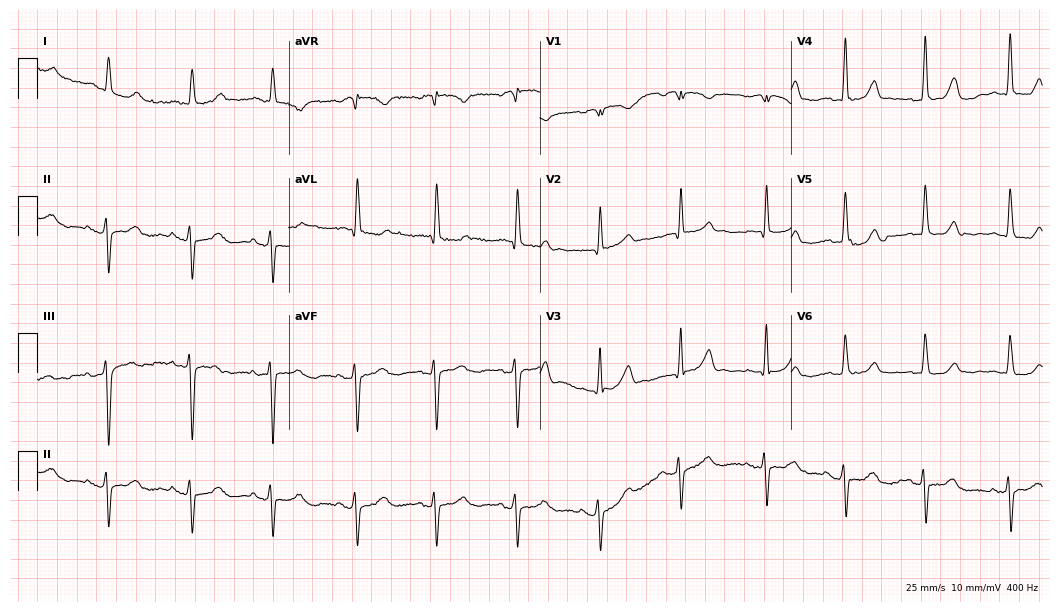
Resting 12-lead electrocardiogram (10.2-second recording at 400 Hz). Patient: a female, 78 years old. None of these six findings is recorded: first-degree AV block, right bundle branch block, left bundle branch block, sinus bradycardia, atrial fibrillation, sinus tachycardia.